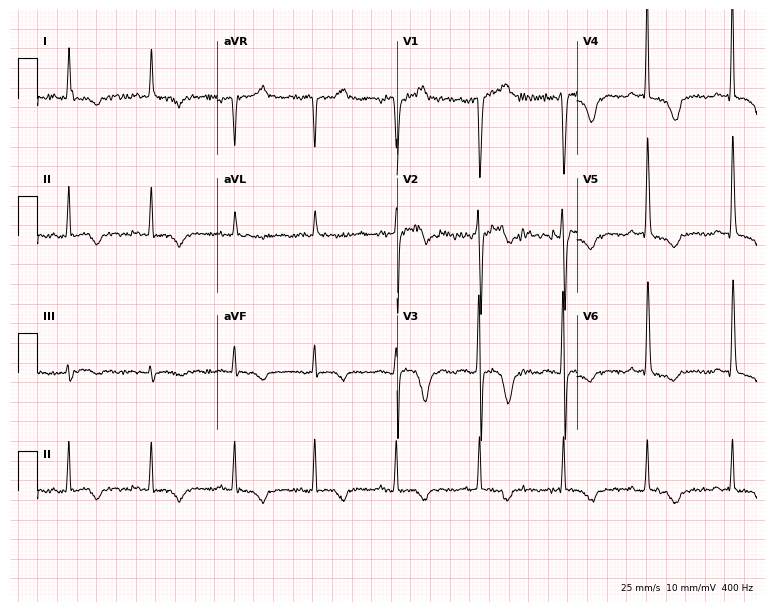
ECG (7.3-second recording at 400 Hz) — a male patient, 41 years old. Screened for six findings — first-degree AV block, right bundle branch block (RBBB), left bundle branch block (LBBB), sinus bradycardia, atrial fibrillation (AF), sinus tachycardia — none is recorded. Only these six findings were labelled.